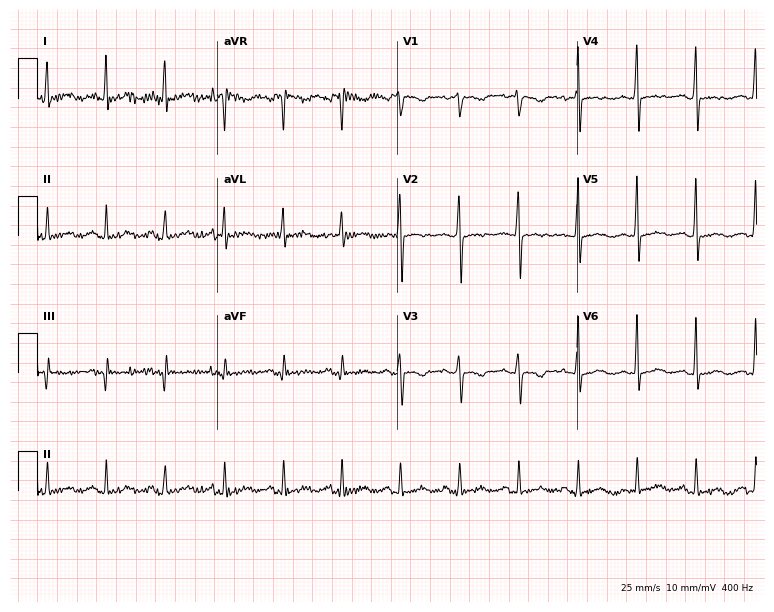
12-lead ECG from a 35-year-old female patient. No first-degree AV block, right bundle branch block, left bundle branch block, sinus bradycardia, atrial fibrillation or sinus tachycardia recorded for this tracing.